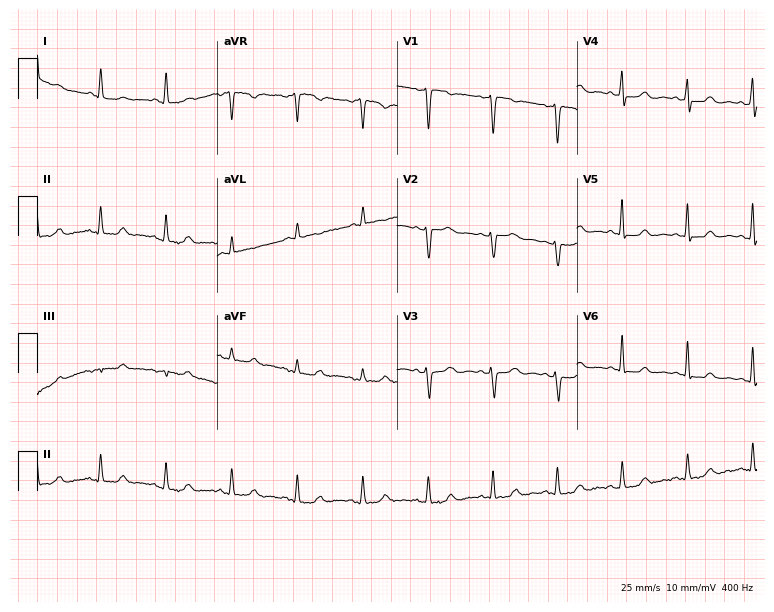
Electrocardiogram, a 51-year-old female patient. Of the six screened findings (first-degree AV block, right bundle branch block, left bundle branch block, sinus bradycardia, atrial fibrillation, sinus tachycardia), none is recorded.